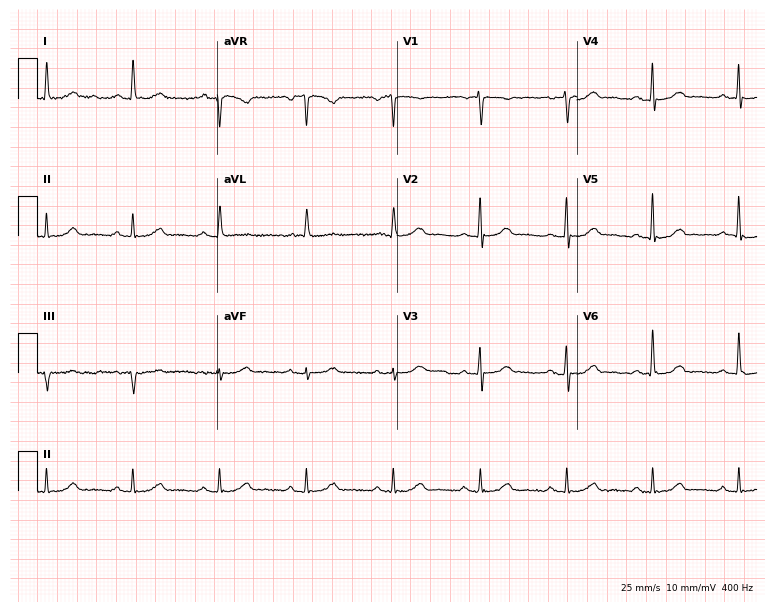
12-lead ECG from a male, 71 years old. Recorded interpretation: within normal limits.